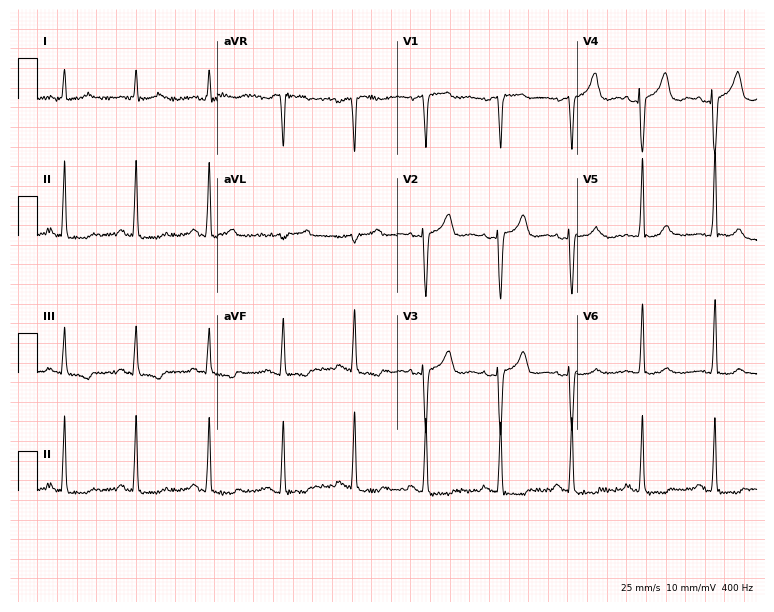
Standard 12-lead ECG recorded from a female, 58 years old. None of these six findings is recorded: first-degree AV block, right bundle branch block, left bundle branch block, sinus bradycardia, atrial fibrillation, sinus tachycardia.